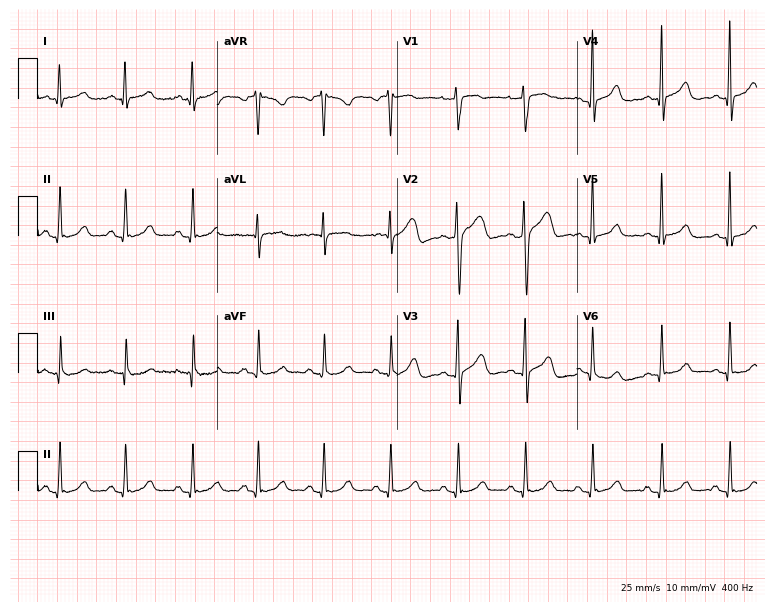
Resting 12-lead electrocardiogram. Patient: a 41-year-old woman. Read as a normal ECG.